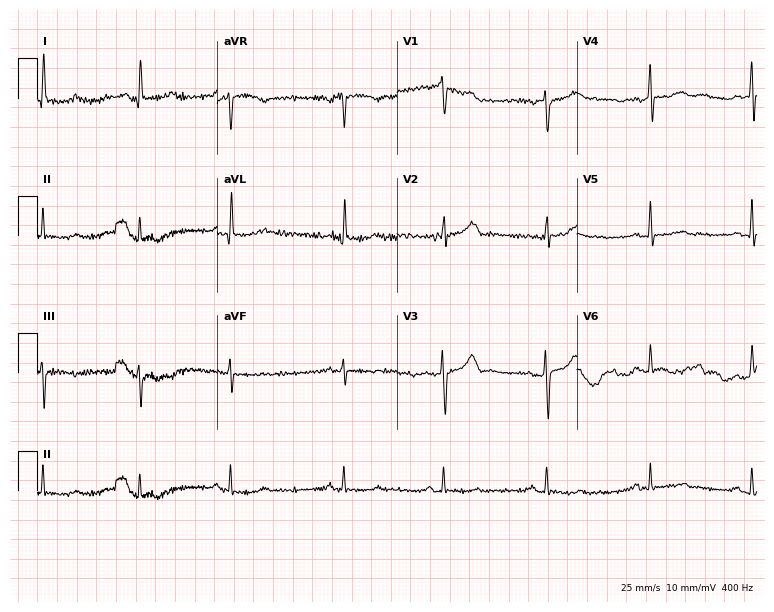
12-lead ECG from a female patient, 56 years old. Screened for six findings — first-degree AV block, right bundle branch block (RBBB), left bundle branch block (LBBB), sinus bradycardia, atrial fibrillation (AF), sinus tachycardia — none is recorded. Findings outside these six are not listed.